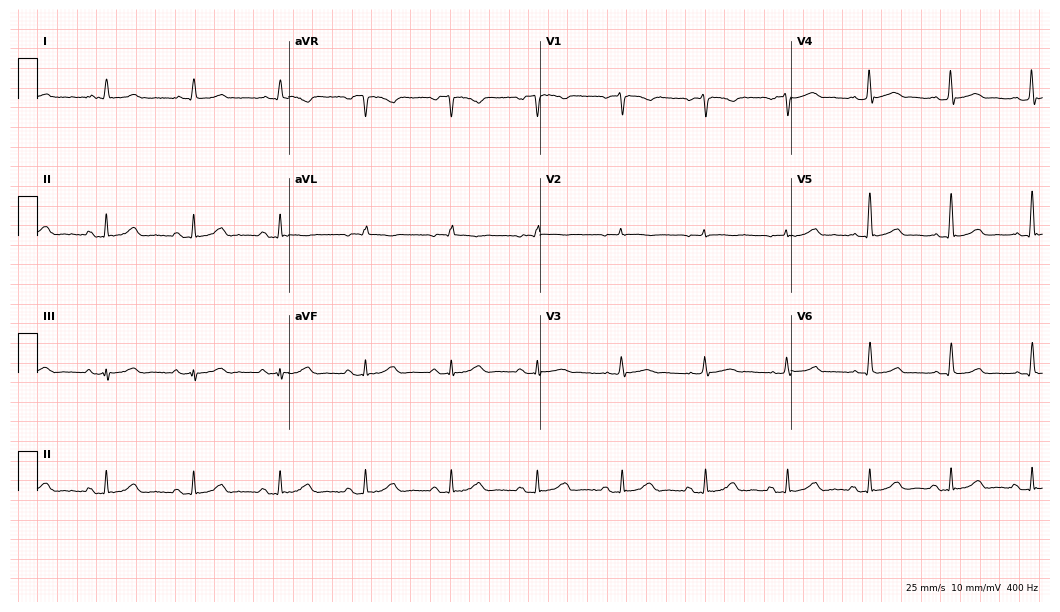
12-lead ECG from a man, 69 years old. Recorded interpretation: within normal limits.